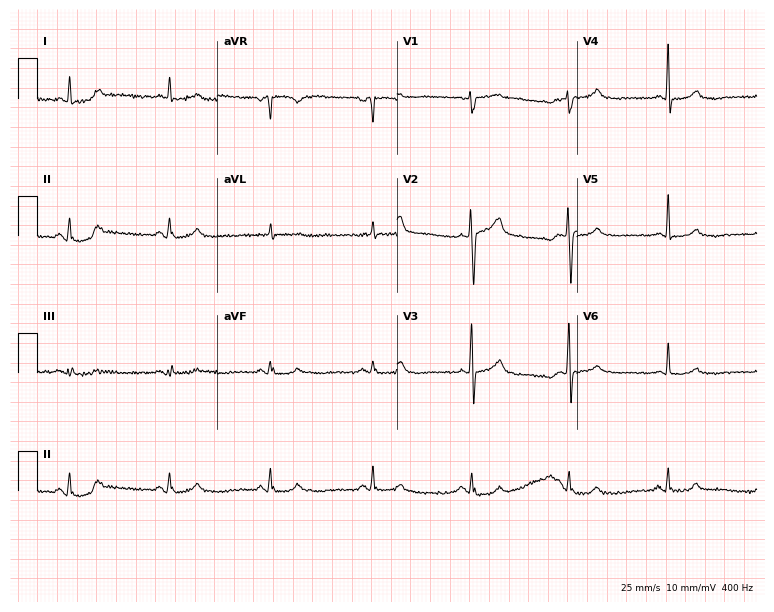
12-lead ECG from a 72-year-old male (7.3-second recording at 400 Hz). No first-degree AV block, right bundle branch block, left bundle branch block, sinus bradycardia, atrial fibrillation or sinus tachycardia recorded for this tracing.